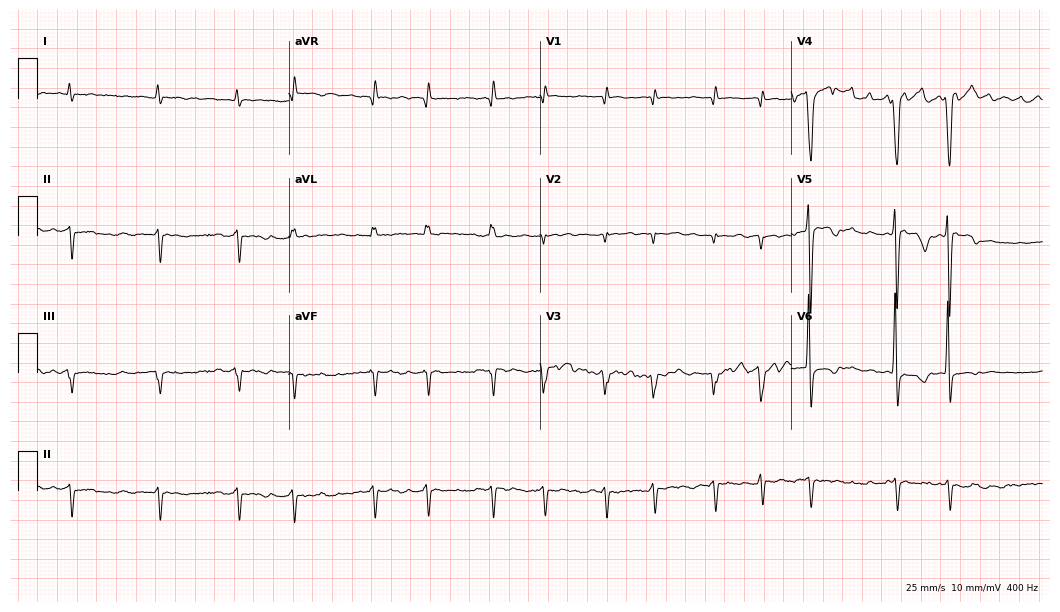
Electrocardiogram (10.2-second recording at 400 Hz), a 71-year-old male patient. Interpretation includes atrial fibrillation.